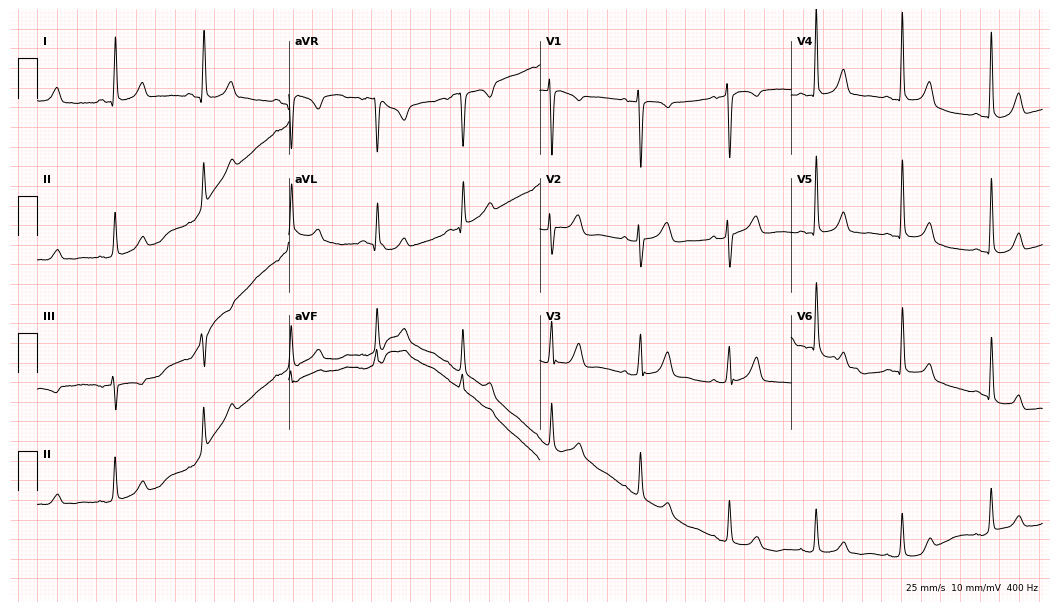
12-lead ECG from a 54-year-old female patient. Recorded interpretation: within normal limits.